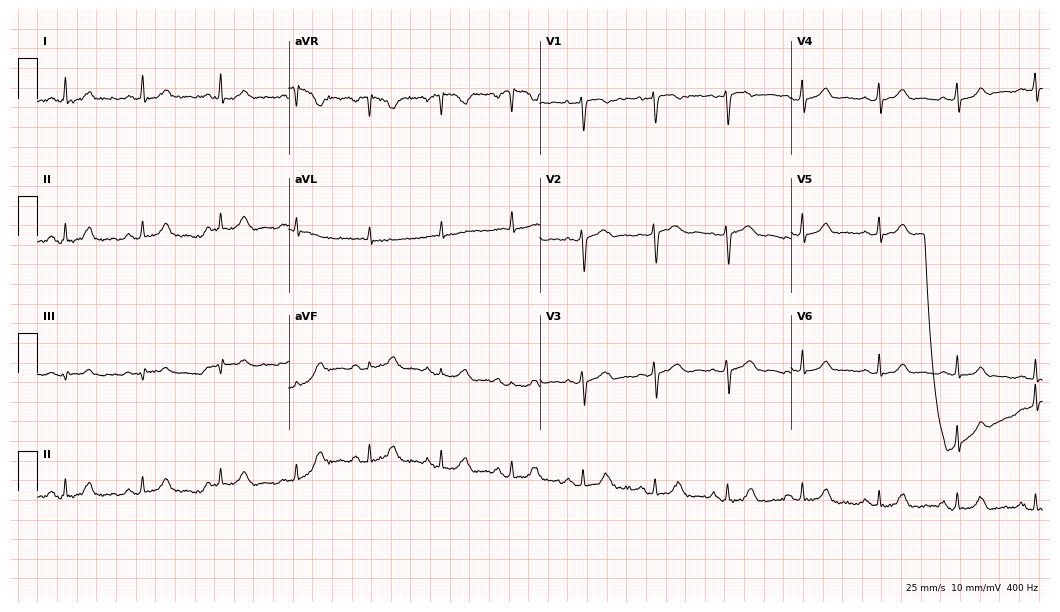
Resting 12-lead electrocardiogram (10.2-second recording at 400 Hz). Patient: a female, 41 years old. Read as a normal ECG.